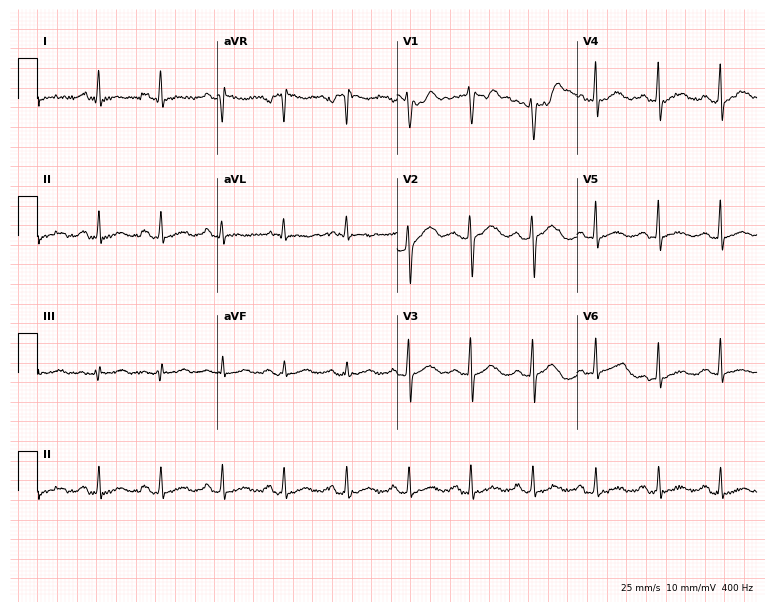
Electrocardiogram (7.3-second recording at 400 Hz), a 41-year-old man. Of the six screened findings (first-degree AV block, right bundle branch block, left bundle branch block, sinus bradycardia, atrial fibrillation, sinus tachycardia), none is recorded.